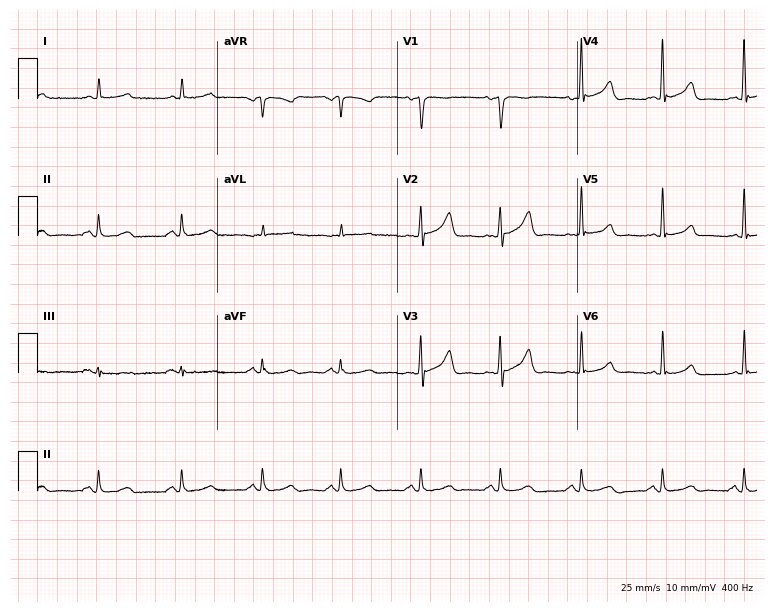
12-lead ECG from a man, 69 years old. Recorded interpretation: within normal limits.